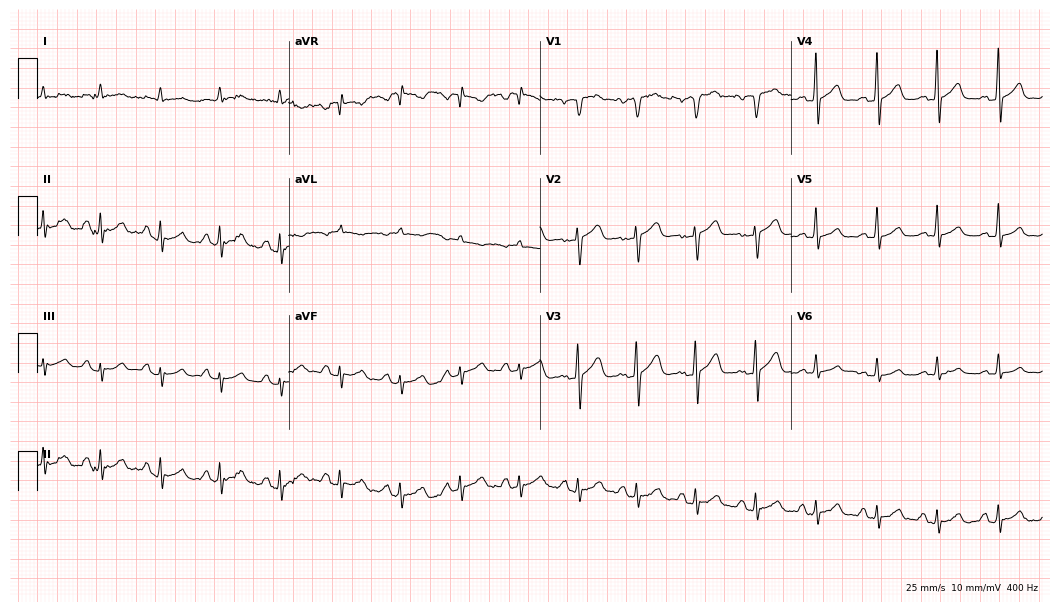
12-lead ECG (10.2-second recording at 400 Hz) from a man, 68 years old. Labelled as a normal ECG.